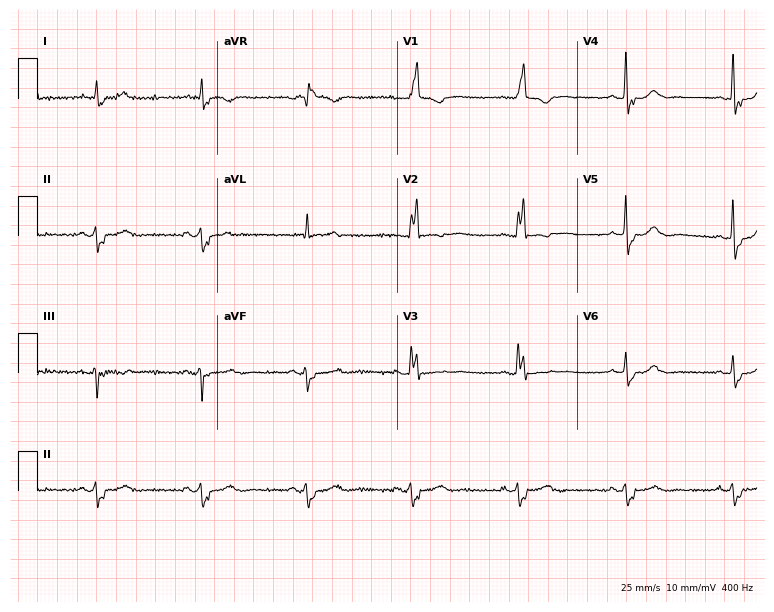
ECG — a woman, 82 years old. Findings include right bundle branch block (RBBB).